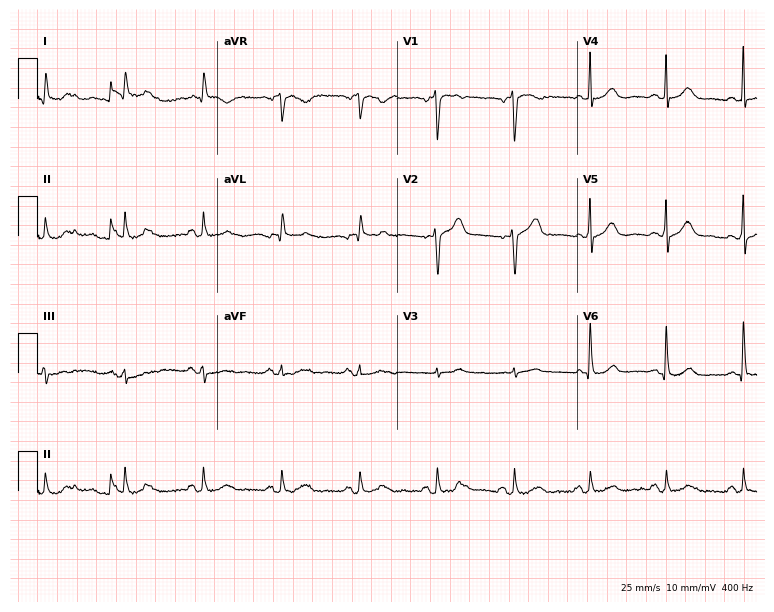
12-lead ECG from a woman, 60 years old. Screened for six findings — first-degree AV block, right bundle branch block, left bundle branch block, sinus bradycardia, atrial fibrillation, sinus tachycardia — none is recorded. Only these six findings were labelled.